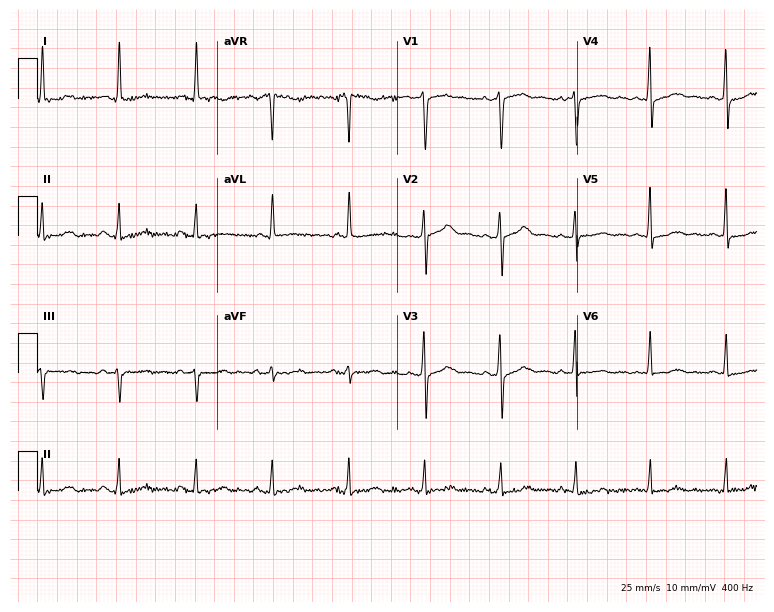
Electrocardiogram (7.3-second recording at 400 Hz), a 60-year-old woman. Overall reading on record: normal ECG.